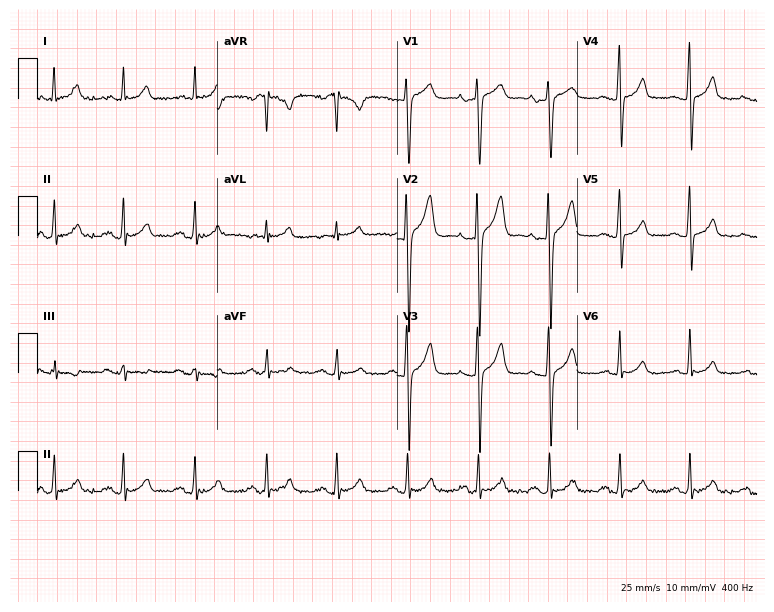
Resting 12-lead electrocardiogram (7.3-second recording at 400 Hz). Patient: a woman, 68 years old. None of these six findings is recorded: first-degree AV block, right bundle branch block, left bundle branch block, sinus bradycardia, atrial fibrillation, sinus tachycardia. Findings outside these six are not listed.